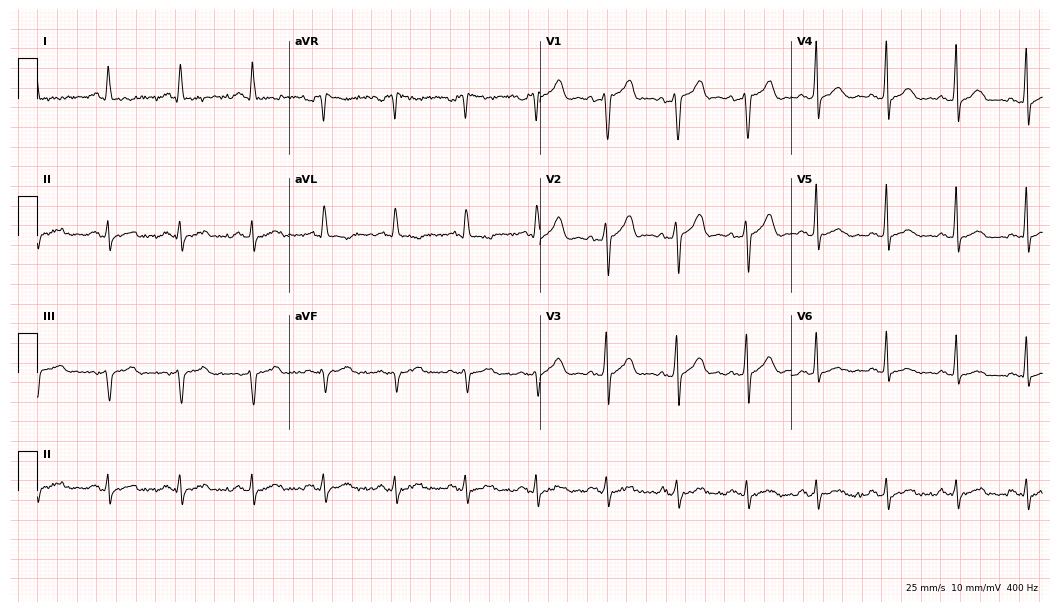
Standard 12-lead ECG recorded from a 57-year-old man (10.2-second recording at 400 Hz). None of these six findings is recorded: first-degree AV block, right bundle branch block, left bundle branch block, sinus bradycardia, atrial fibrillation, sinus tachycardia. Findings outside these six are not listed.